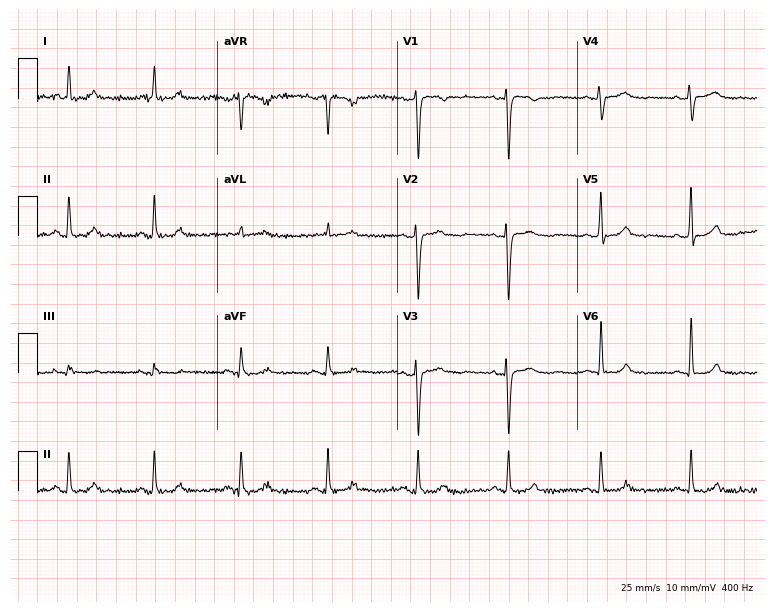
Standard 12-lead ECG recorded from a woman, 49 years old. Read as a normal ECG.